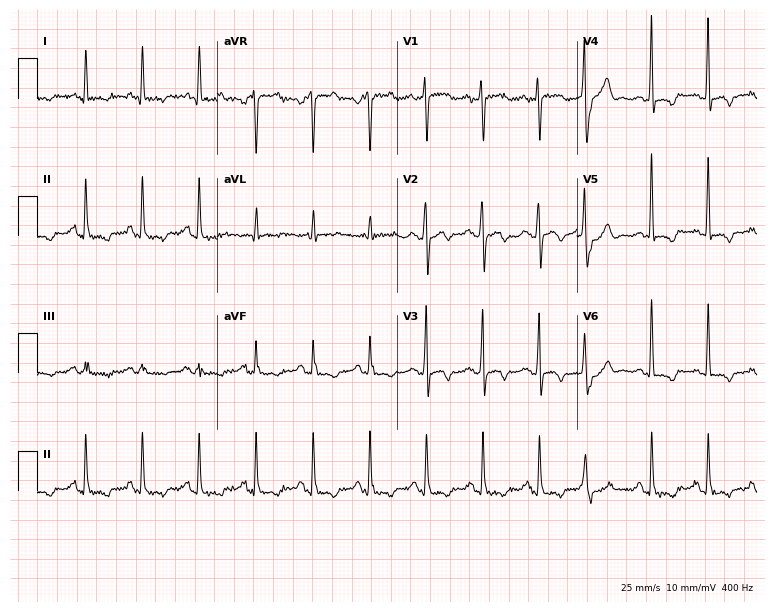
12-lead ECG from a 52-year-old female. Shows sinus tachycardia (a sinus rate of 100 beats per minute or more).